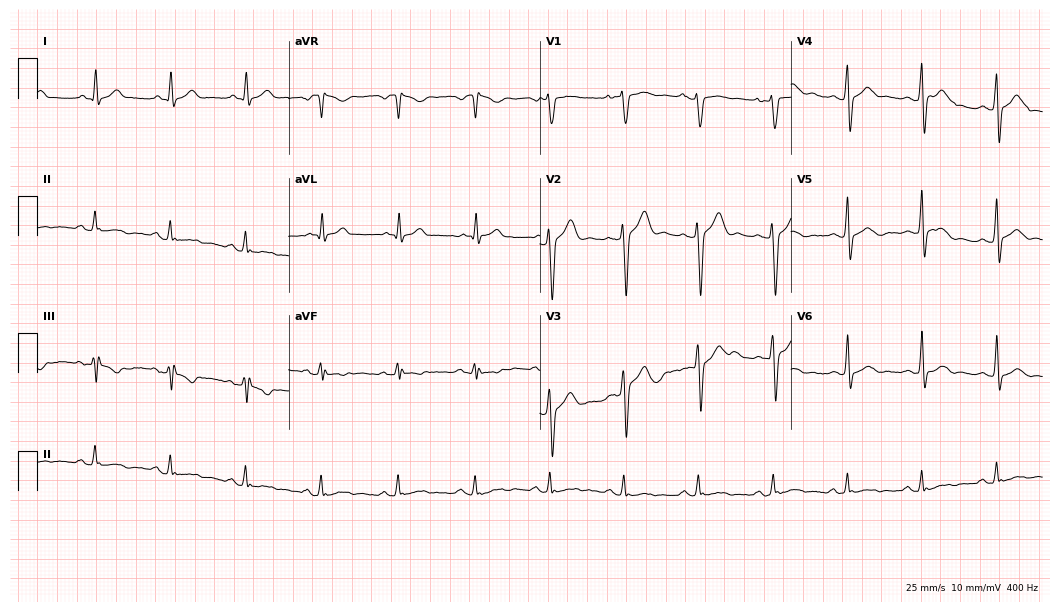
Standard 12-lead ECG recorded from a 34-year-old male patient. Read as a normal ECG.